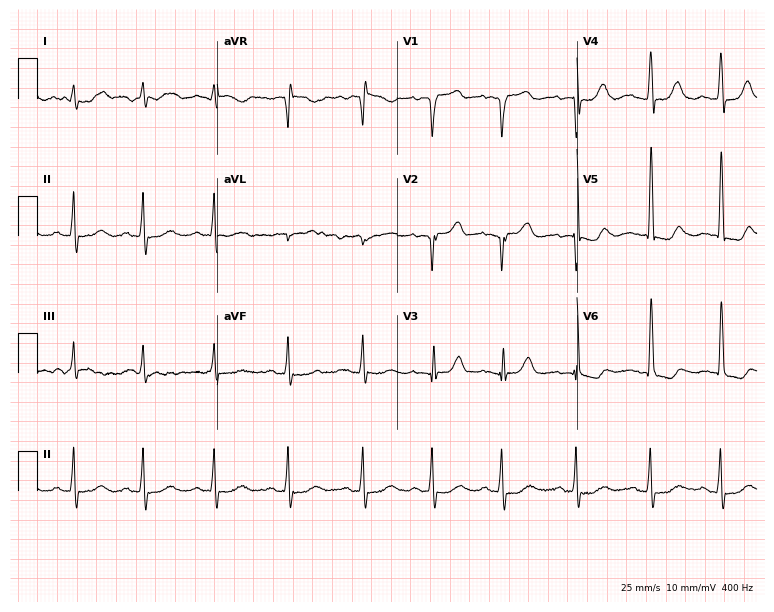
12-lead ECG from an 82-year-old woman. Screened for six findings — first-degree AV block, right bundle branch block, left bundle branch block, sinus bradycardia, atrial fibrillation, sinus tachycardia — none is recorded. Only these six findings were labelled.